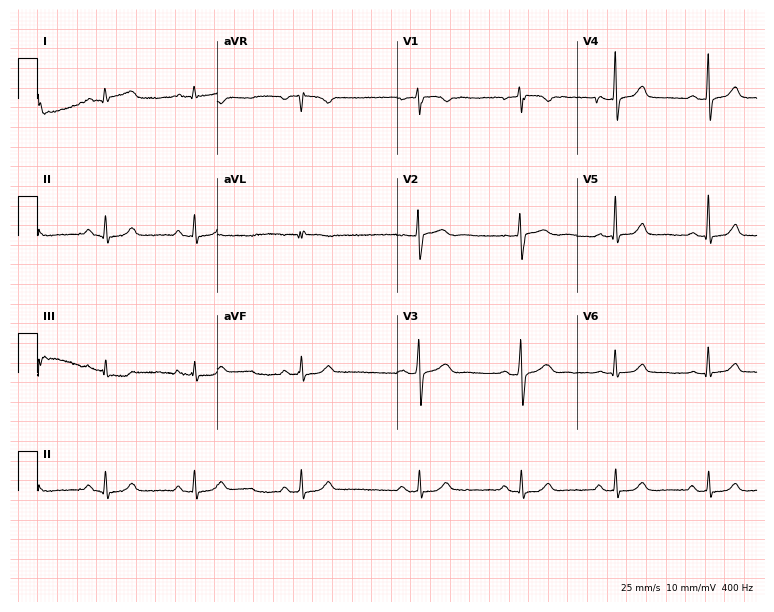
Electrocardiogram (7.3-second recording at 400 Hz), a female patient, 45 years old. Of the six screened findings (first-degree AV block, right bundle branch block (RBBB), left bundle branch block (LBBB), sinus bradycardia, atrial fibrillation (AF), sinus tachycardia), none is recorded. Findings outside these six are not listed.